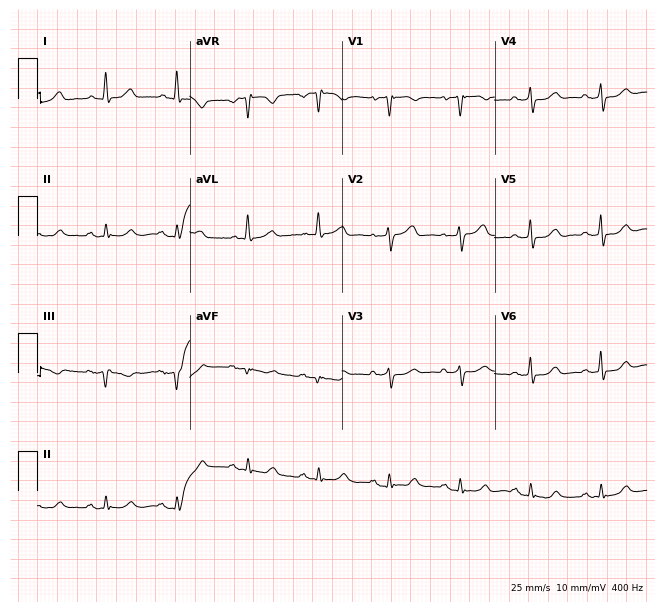
12-lead ECG from a 57-year-old female. Screened for six findings — first-degree AV block, right bundle branch block (RBBB), left bundle branch block (LBBB), sinus bradycardia, atrial fibrillation (AF), sinus tachycardia — none is recorded. Other findings, if any, are not listed.